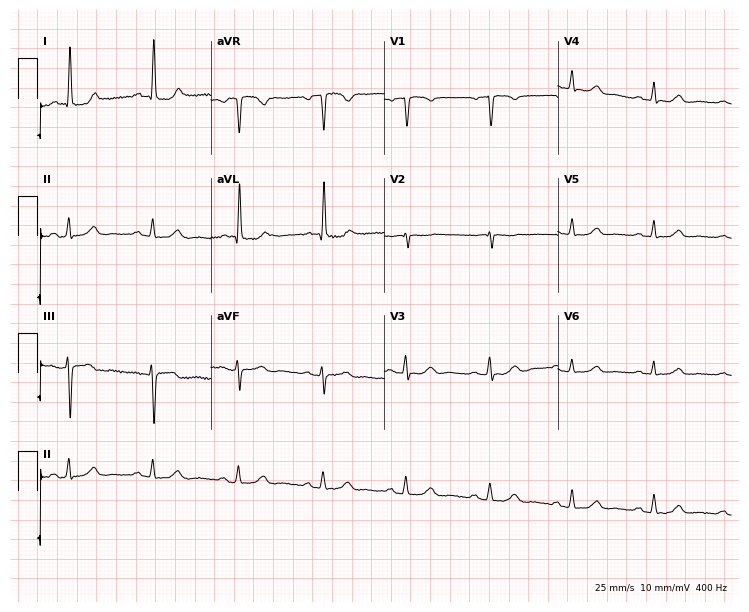
Electrocardiogram (7.1-second recording at 400 Hz), a female, 58 years old. Overall reading on record: normal ECG.